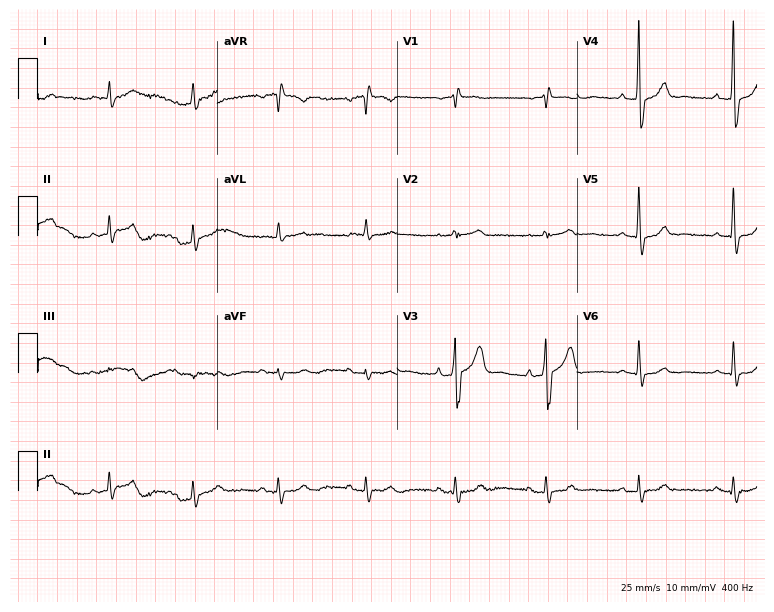
ECG — a 79-year-old male. Labelled as a normal ECG.